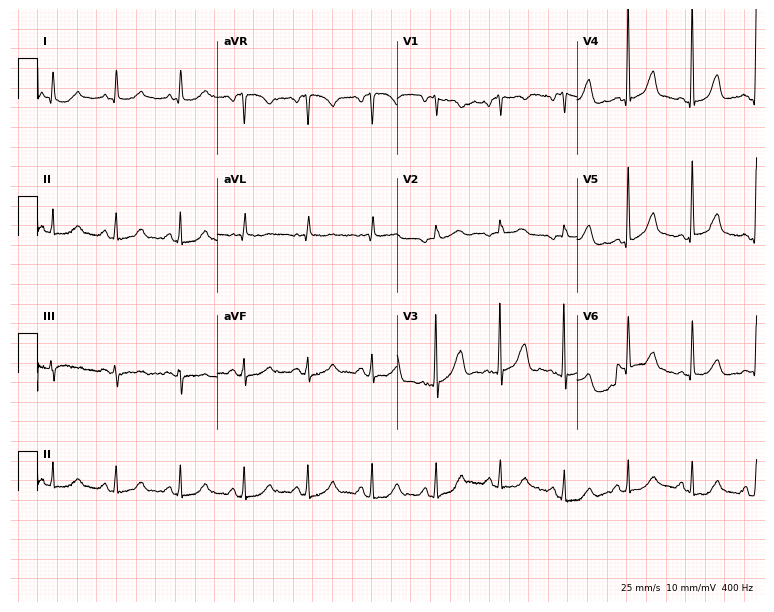
12-lead ECG (7.3-second recording at 400 Hz) from a woman, 75 years old. Labelled as a normal ECG.